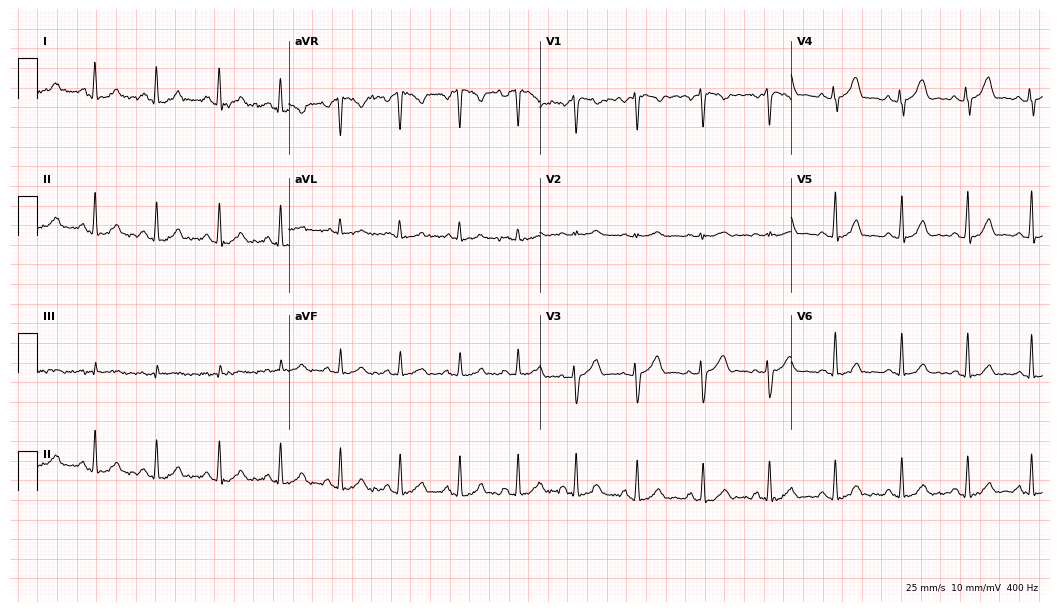
ECG — a female patient, 32 years old. Screened for six findings — first-degree AV block, right bundle branch block, left bundle branch block, sinus bradycardia, atrial fibrillation, sinus tachycardia — none is recorded.